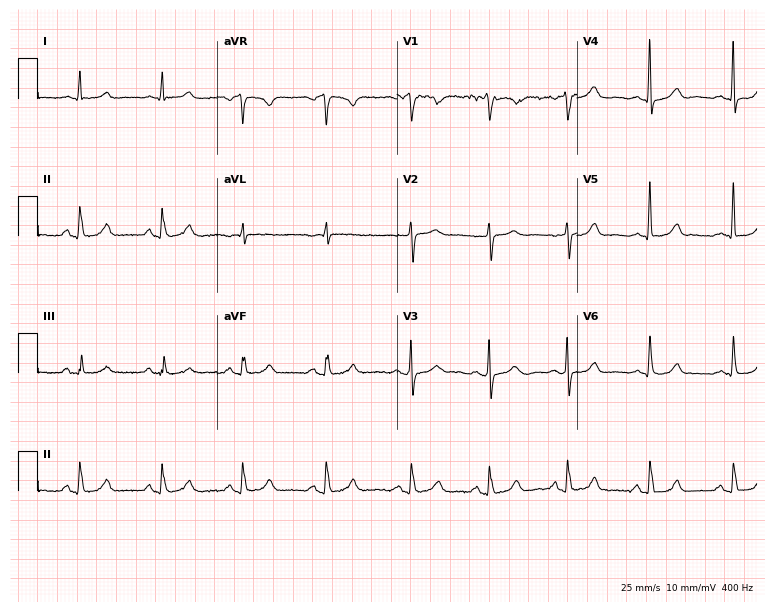
12-lead ECG from a 41-year-old female (7.3-second recording at 400 Hz). Recorded interpretation: within normal limits.